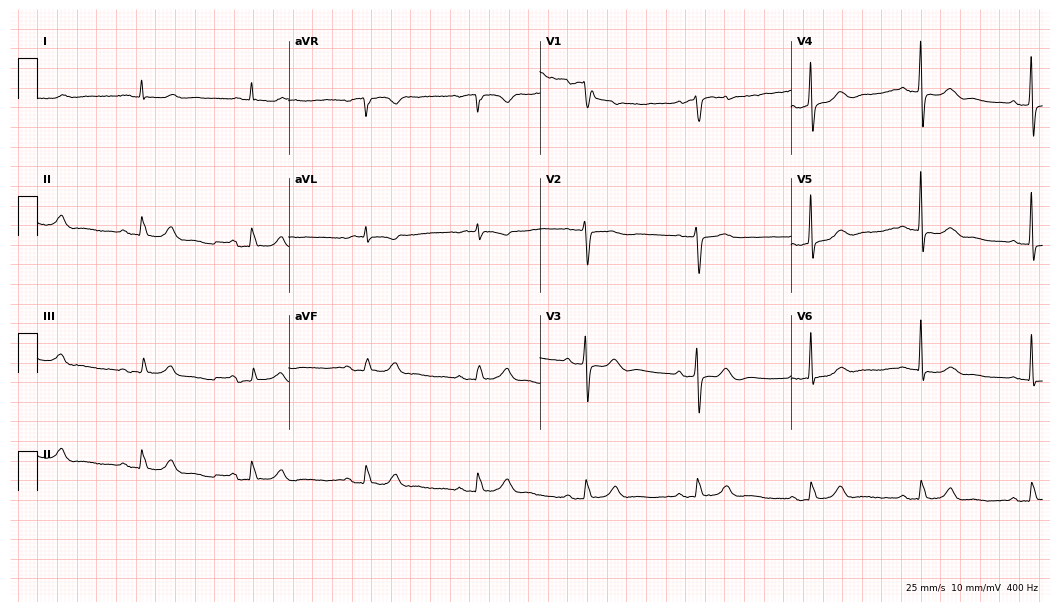
12-lead ECG from a 77-year-old female (10.2-second recording at 400 Hz). No first-degree AV block, right bundle branch block, left bundle branch block, sinus bradycardia, atrial fibrillation or sinus tachycardia recorded for this tracing. Findings outside these six are not listed.